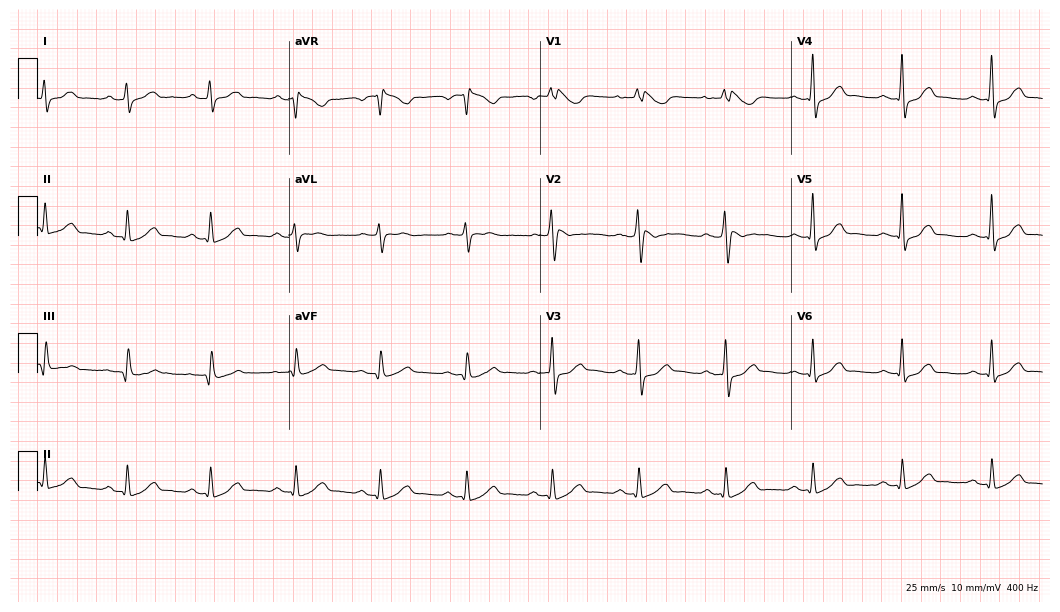
Resting 12-lead electrocardiogram (10.2-second recording at 400 Hz). Patient: a 55-year-old woman. None of these six findings is recorded: first-degree AV block, right bundle branch block (RBBB), left bundle branch block (LBBB), sinus bradycardia, atrial fibrillation (AF), sinus tachycardia.